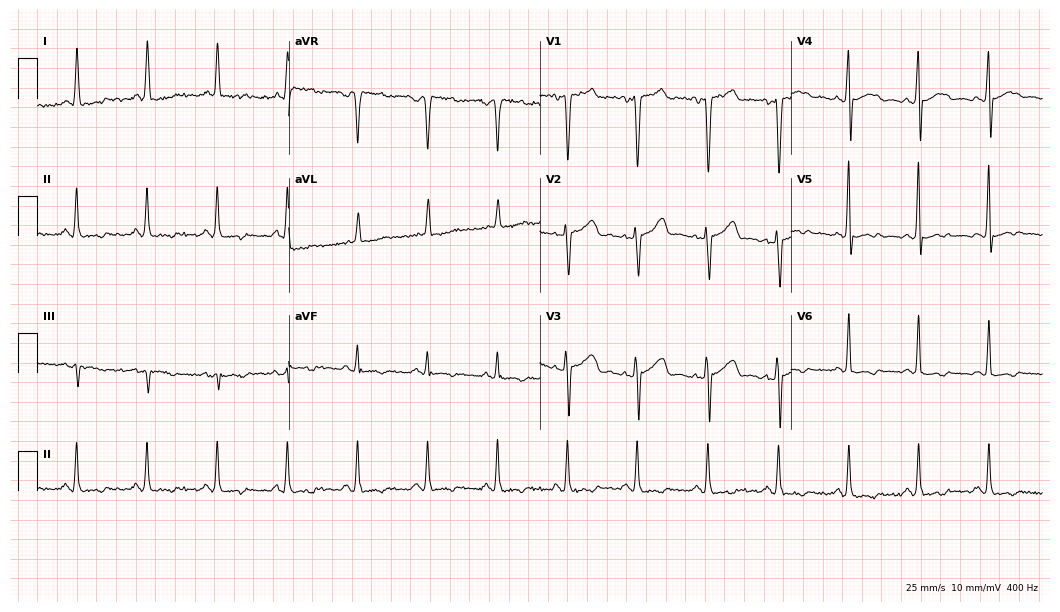
12-lead ECG from a female patient, 43 years old. Screened for six findings — first-degree AV block, right bundle branch block, left bundle branch block, sinus bradycardia, atrial fibrillation, sinus tachycardia — none is recorded. Other findings, if any, are not listed.